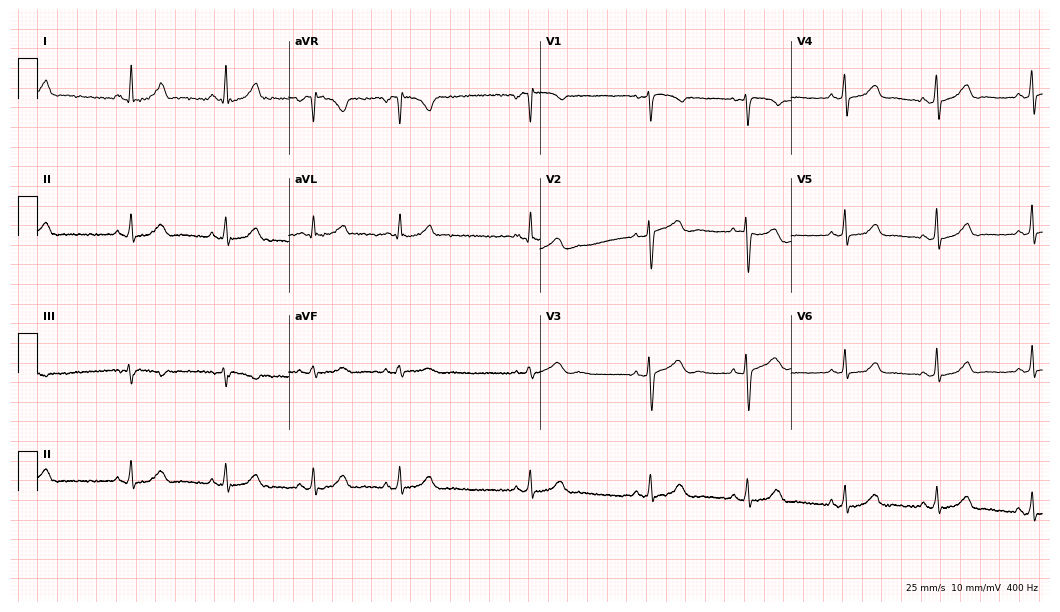
12-lead ECG from a woman, 42 years old (10.2-second recording at 400 Hz). Recorded interpretation: within normal limits.